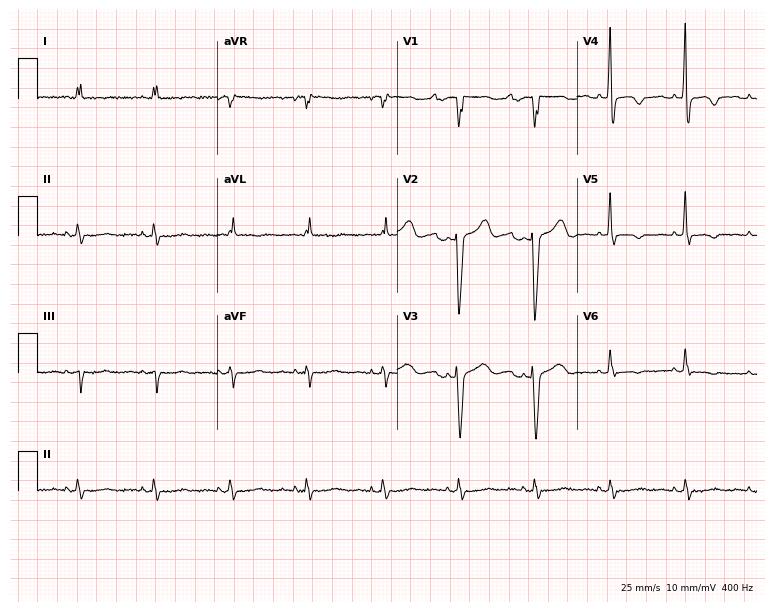
12-lead ECG from a 67-year-old male (7.3-second recording at 400 Hz). No first-degree AV block, right bundle branch block (RBBB), left bundle branch block (LBBB), sinus bradycardia, atrial fibrillation (AF) or sinus tachycardia recorded for this tracing. Other findings, if any, are not listed.